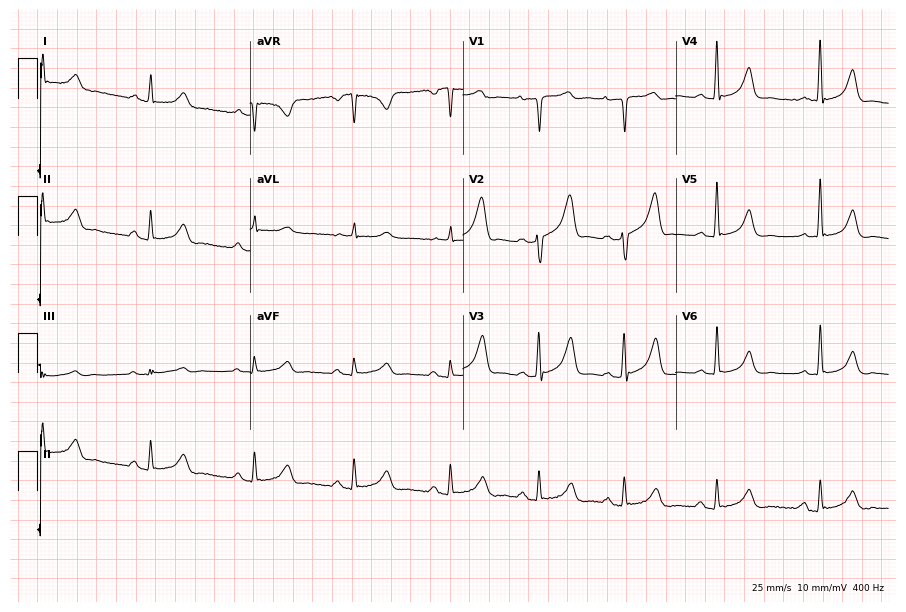
12-lead ECG (8.7-second recording at 400 Hz) from a female patient, 62 years old. Screened for six findings — first-degree AV block, right bundle branch block, left bundle branch block, sinus bradycardia, atrial fibrillation, sinus tachycardia — none is recorded. Other findings, if any, are not listed.